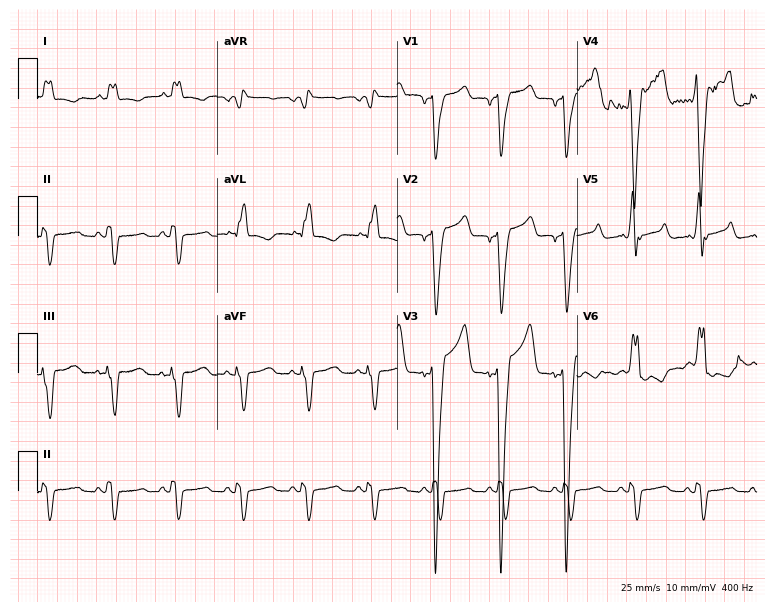
Electrocardiogram (7.3-second recording at 400 Hz), a woman, 80 years old. Interpretation includes left bundle branch block.